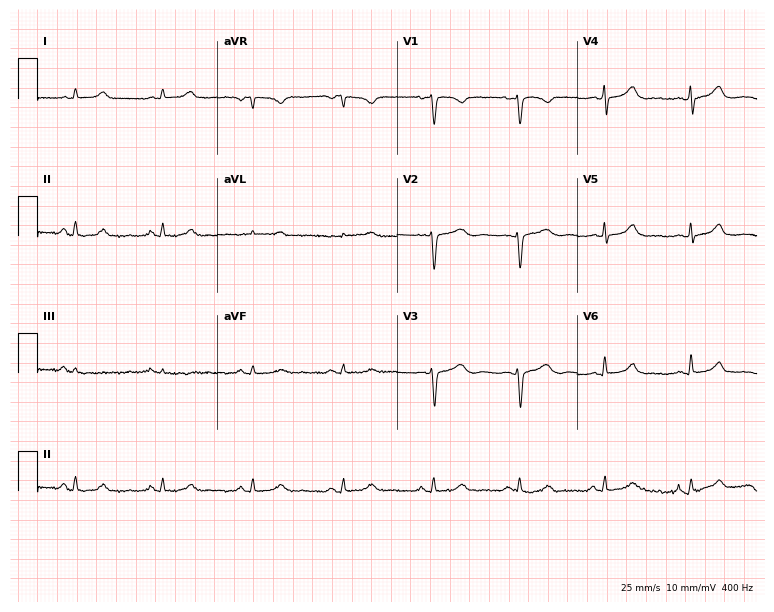
Resting 12-lead electrocardiogram. Patient: a female, 46 years old. None of these six findings is recorded: first-degree AV block, right bundle branch block, left bundle branch block, sinus bradycardia, atrial fibrillation, sinus tachycardia.